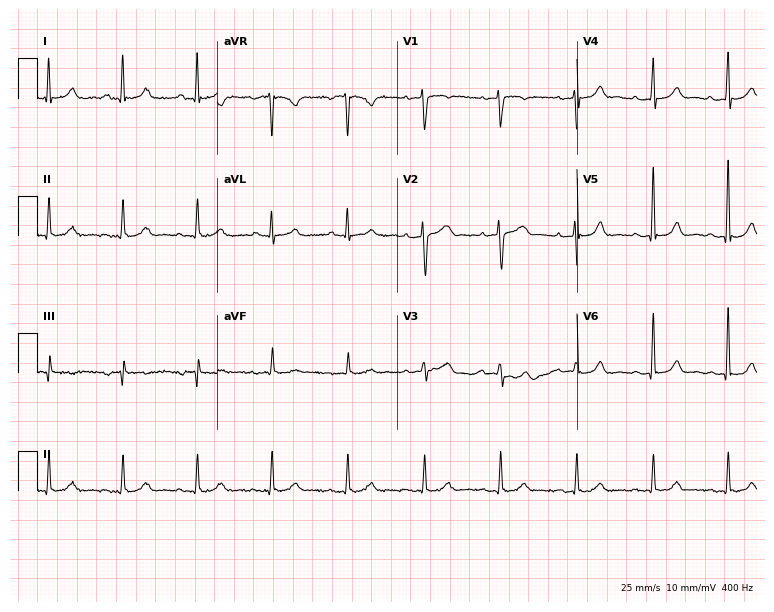
12-lead ECG from a 62-year-old male (7.3-second recording at 400 Hz). Recorded interpretation: within normal limits.